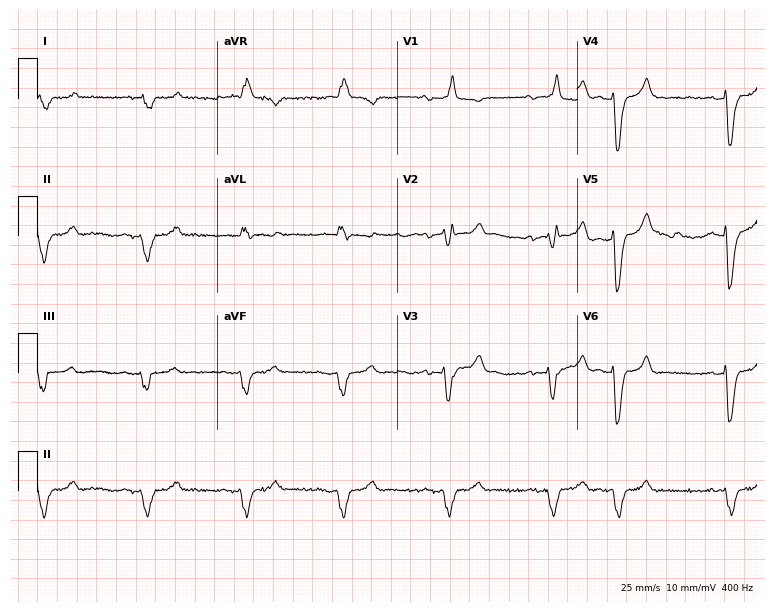
12-lead ECG from a male patient, 75 years old. Findings include first-degree AV block, right bundle branch block (RBBB).